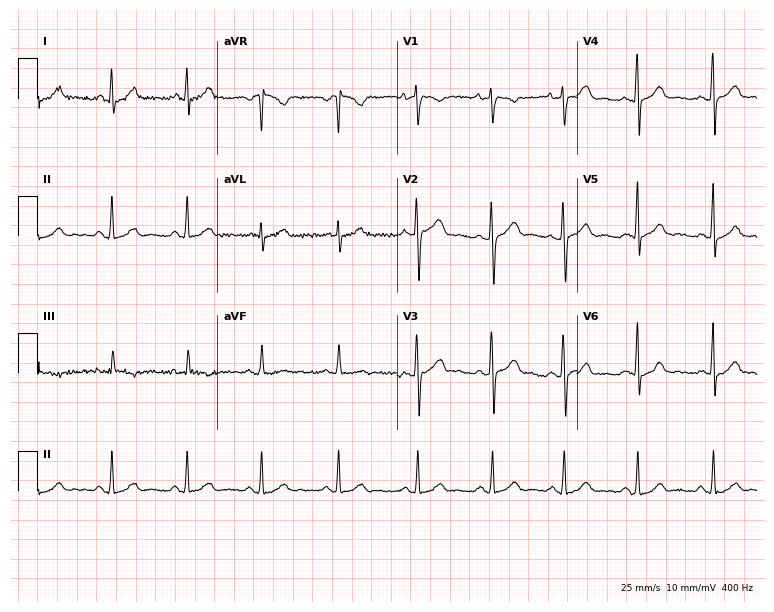
Standard 12-lead ECG recorded from a woman, 33 years old (7.3-second recording at 400 Hz). None of these six findings is recorded: first-degree AV block, right bundle branch block, left bundle branch block, sinus bradycardia, atrial fibrillation, sinus tachycardia.